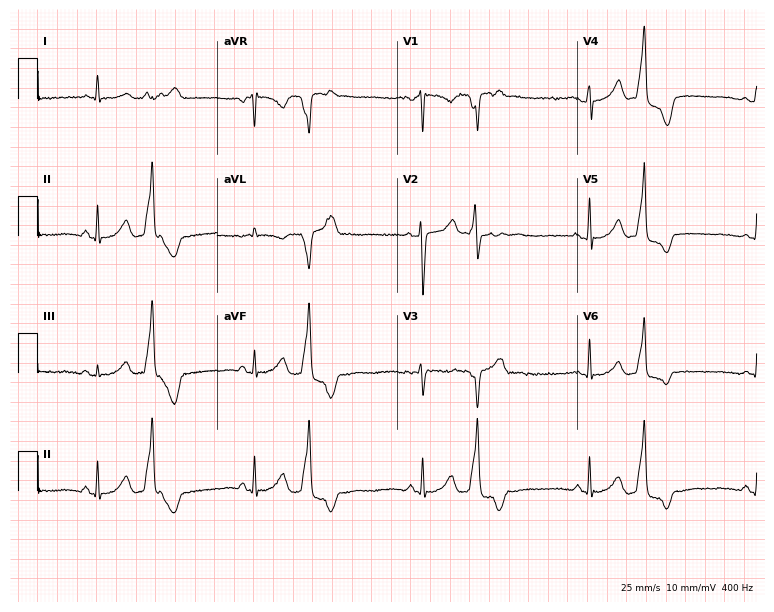
Standard 12-lead ECG recorded from a female patient, 40 years old. None of these six findings is recorded: first-degree AV block, right bundle branch block (RBBB), left bundle branch block (LBBB), sinus bradycardia, atrial fibrillation (AF), sinus tachycardia.